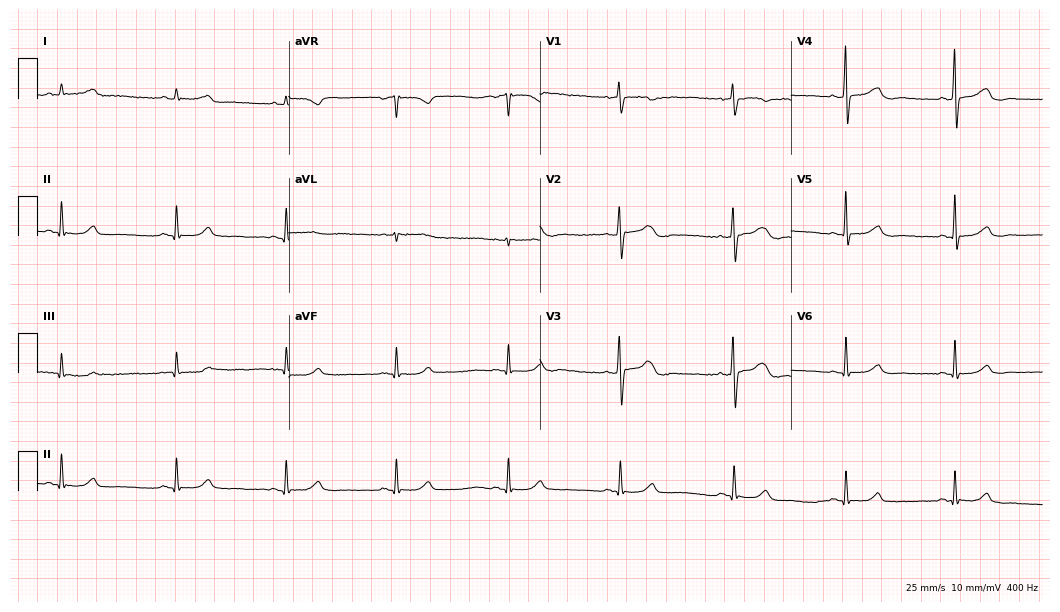
ECG (10.2-second recording at 400 Hz) — a woman, 53 years old. Screened for six findings — first-degree AV block, right bundle branch block (RBBB), left bundle branch block (LBBB), sinus bradycardia, atrial fibrillation (AF), sinus tachycardia — none is recorded. Only these six findings were labelled.